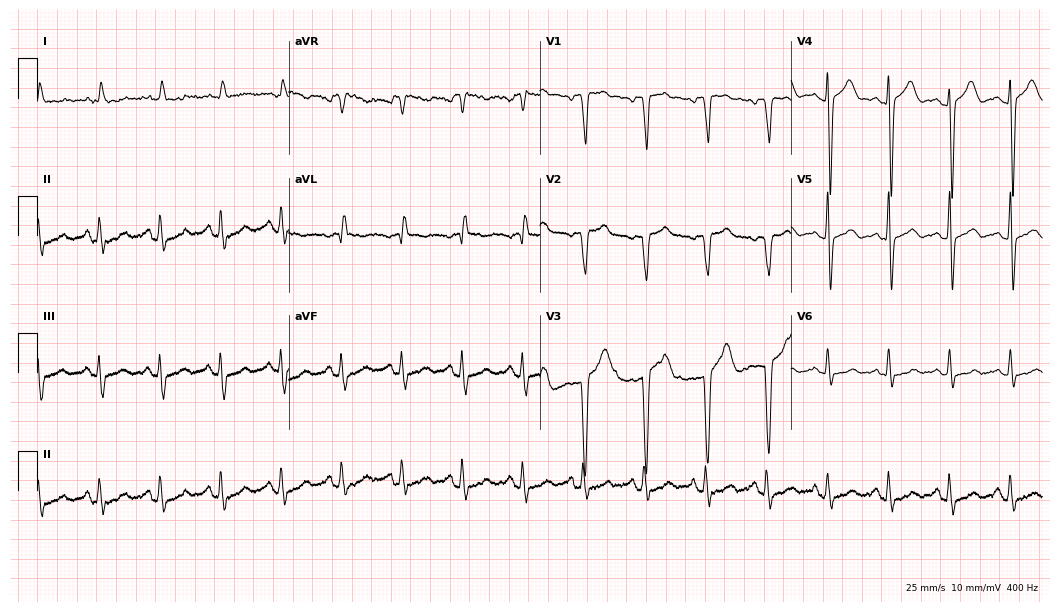
Electrocardiogram, a 65-year-old man. Of the six screened findings (first-degree AV block, right bundle branch block, left bundle branch block, sinus bradycardia, atrial fibrillation, sinus tachycardia), none is recorded. Findings outside these six are not listed.